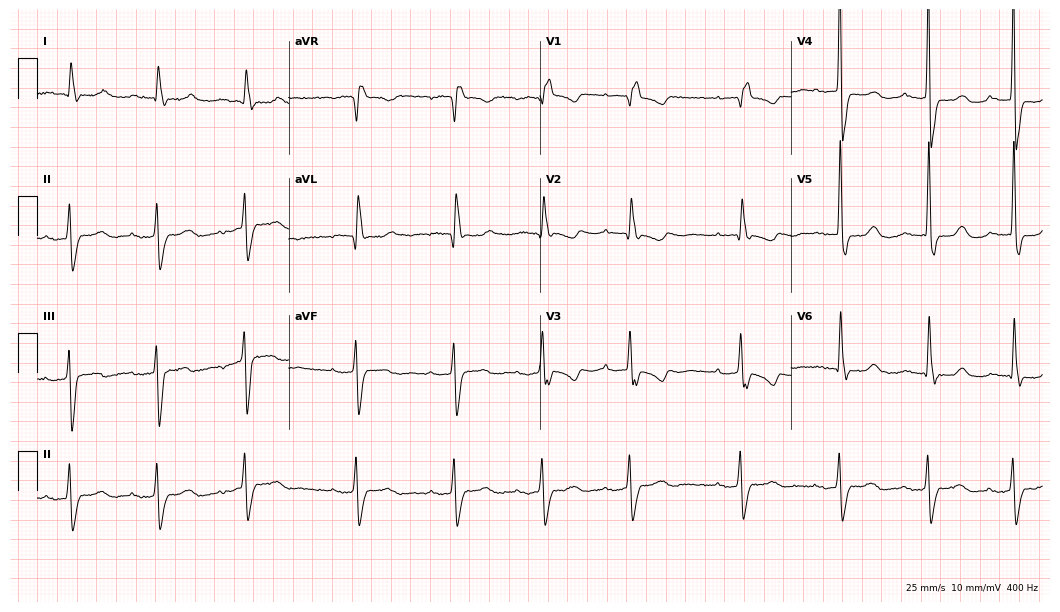
12-lead ECG (10.2-second recording at 400 Hz) from a 73-year-old woman. Findings include first-degree AV block, right bundle branch block.